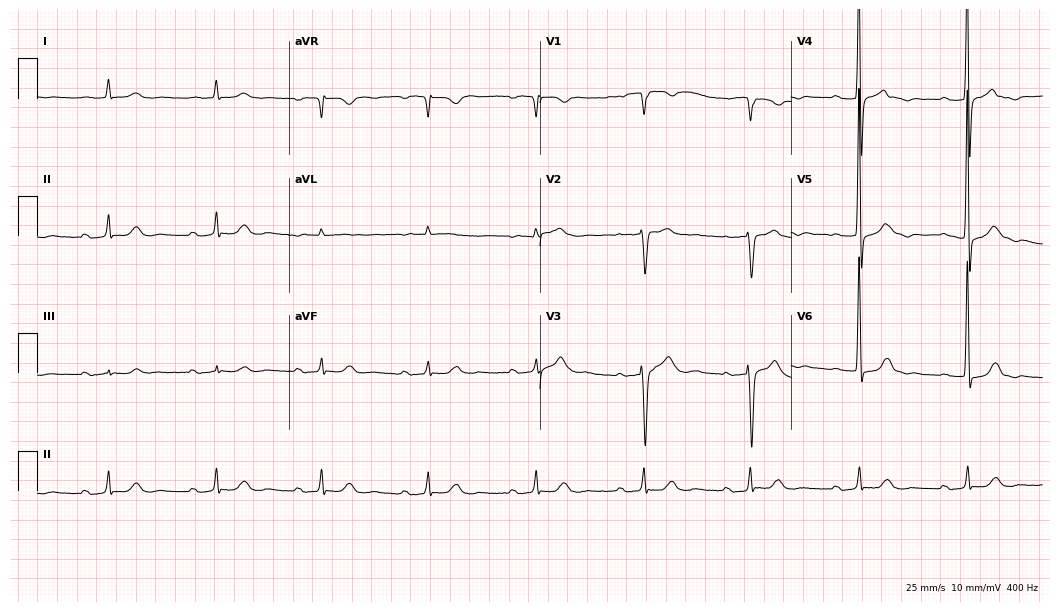
Electrocardiogram, a 75-year-old male. Of the six screened findings (first-degree AV block, right bundle branch block, left bundle branch block, sinus bradycardia, atrial fibrillation, sinus tachycardia), none is recorded. Other findings, if any, are not listed.